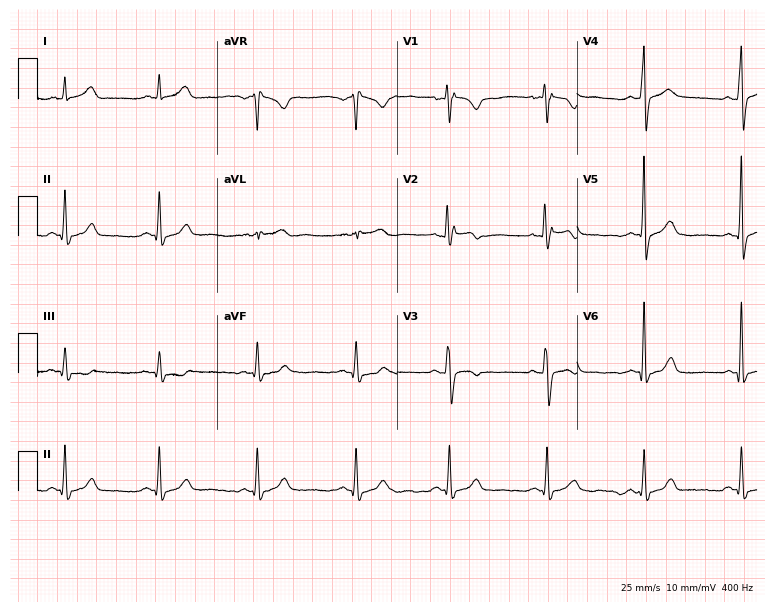
Resting 12-lead electrocardiogram. Patient: a male, 25 years old. None of these six findings is recorded: first-degree AV block, right bundle branch block, left bundle branch block, sinus bradycardia, atrial fibrillation, sinus tachycardia.